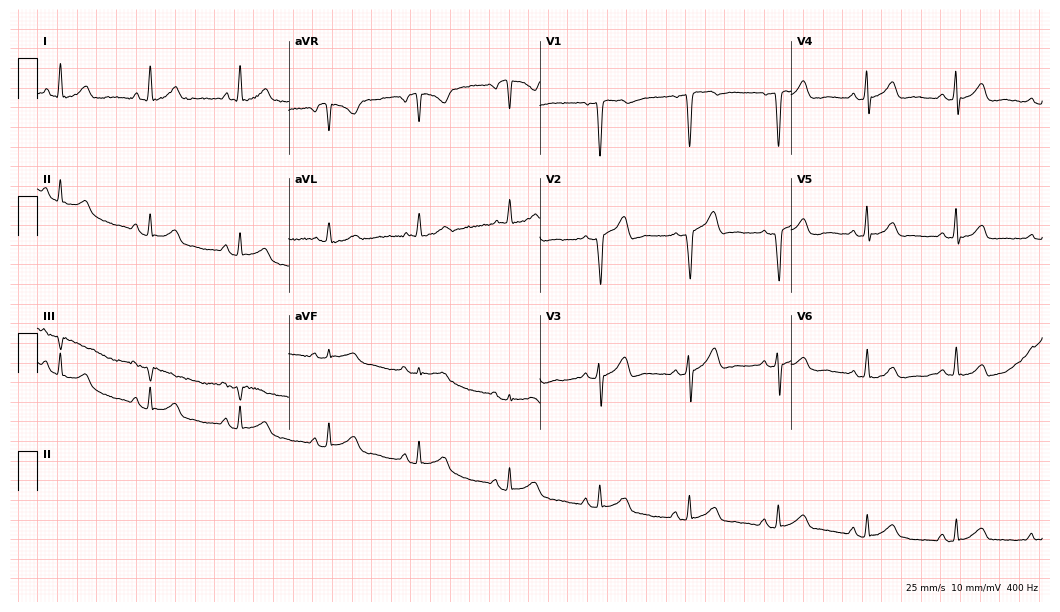
12-lead ECG from a 51-year-old woman (10.2-second recording at 400 Hz). No first-degree AV block, right bundle branch block, left bundle branch block, sinus bradycardia, atrial fibrillation or sinus tachycardia recorded for this tracing.